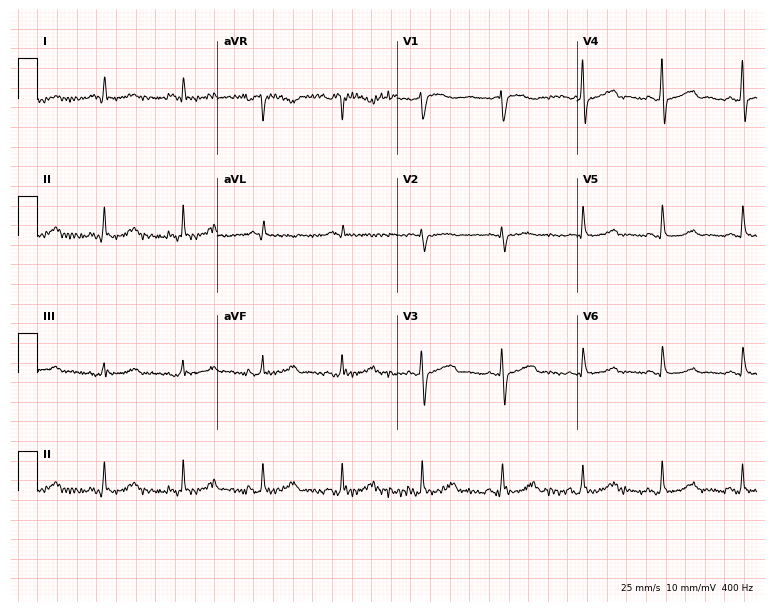
Standard 12-lead ECG recorded from a female patient, 56 years old. None of these six findings is recorded: first-degree AV block, right bundle branch block (RBBB), left bundle branch block (LBBB), sinus bradycardia, atrial fibrillation (AF), sinus tachycardia. Other findings, if any, are not listed.